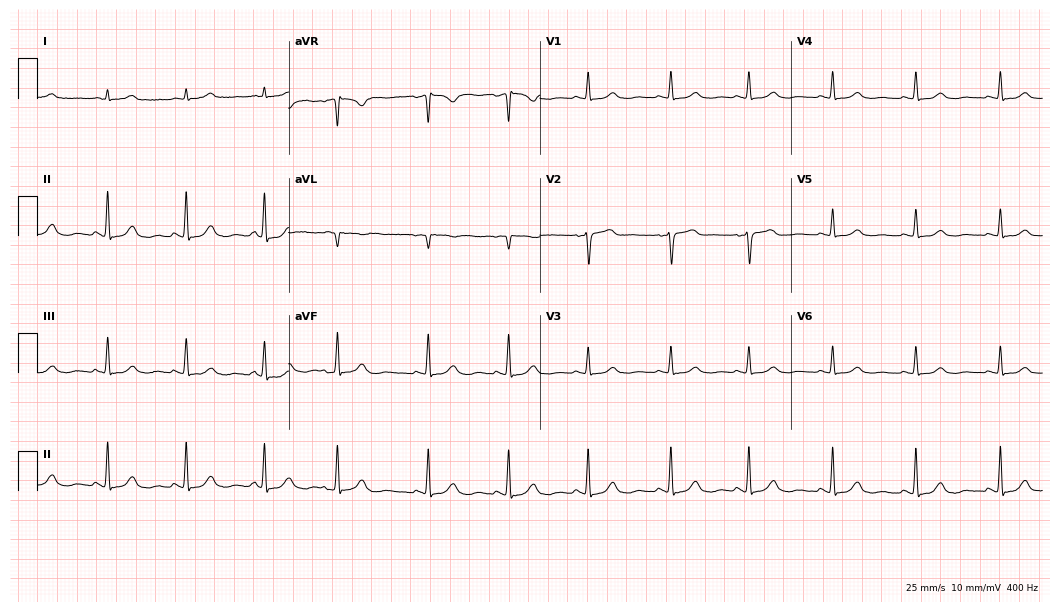
Electrocardiogram, an 85-year-old male patient. Overall reading on record: normal ECG.